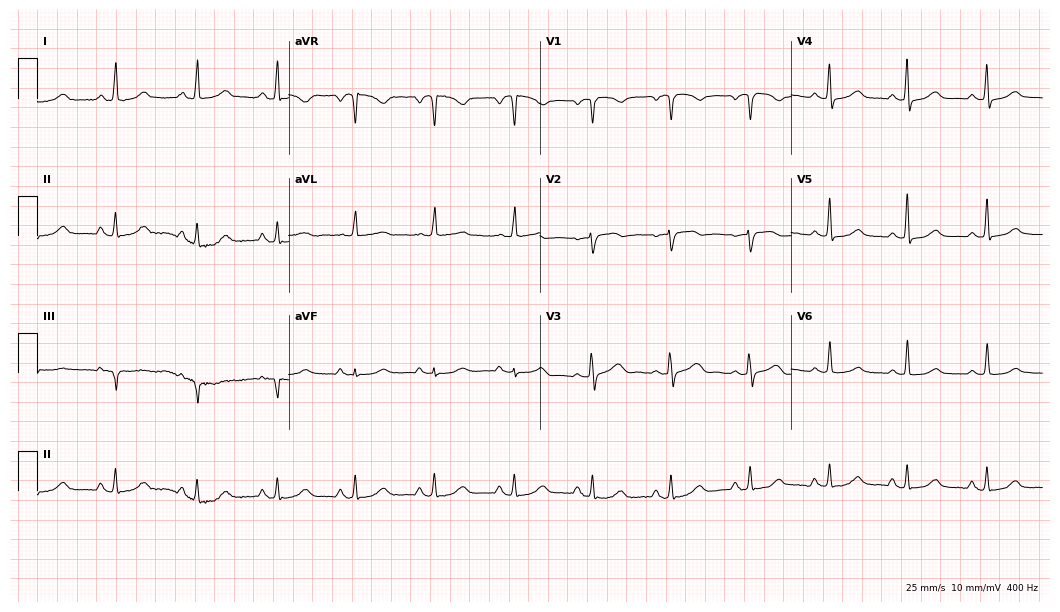
Standard 12-lead ECG recorded from a woman, 54 years old. Read as a normal ECG.